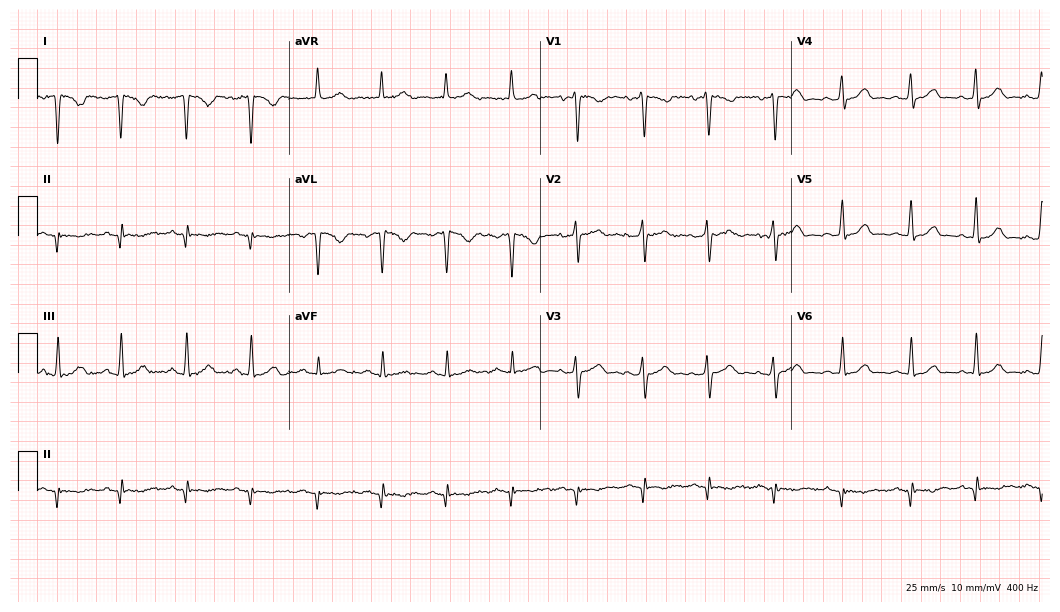
Resting 12-lead electrocardiogram. Patient: a female, 35 years old. Read as a normal ECG.